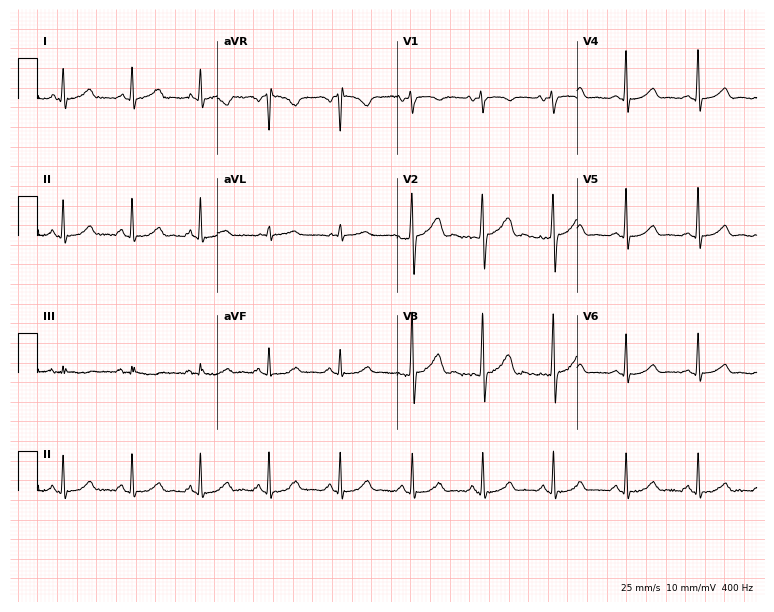
Standard 12-lead ECG recorded from a female, 40 years old. None of these six findings is recorded: first-degree AV block, right bundle branch block, left bundle branch block, sinus bradycardia, atrial fibrillation, sinus tachycardia. Findings outside these six are not listed.